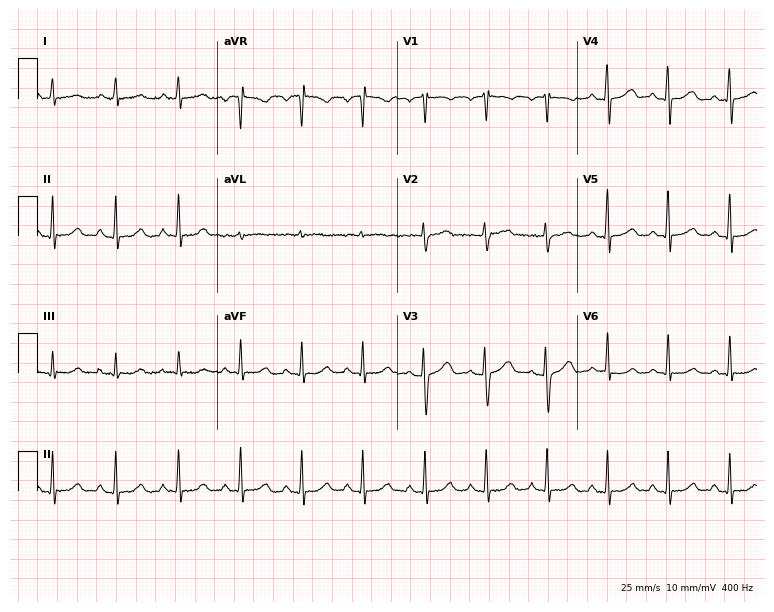
Resting 12-lead electrocardiogram. Patient: a 55-year-old female. Read as a normal ECG.